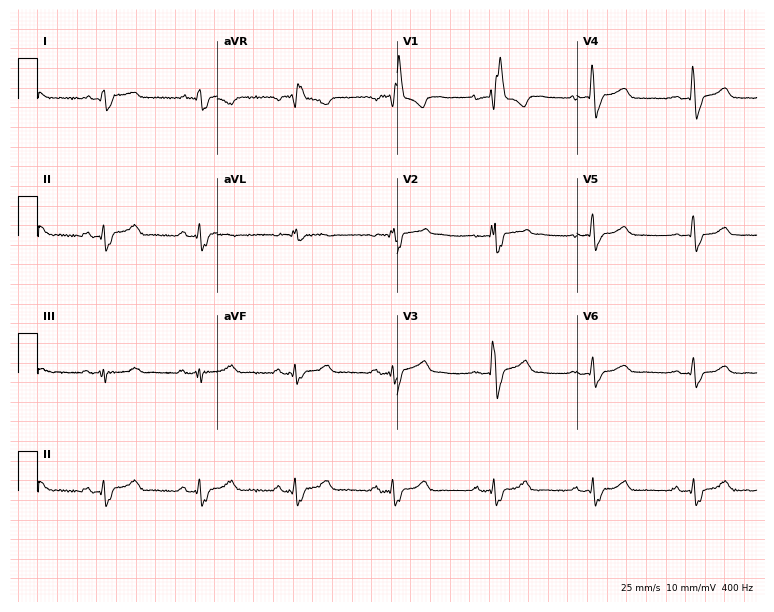
Standard 12-lead ECG recorded from a male patient, 54 years old. The tracing shows right bundle branch block (RBBB).